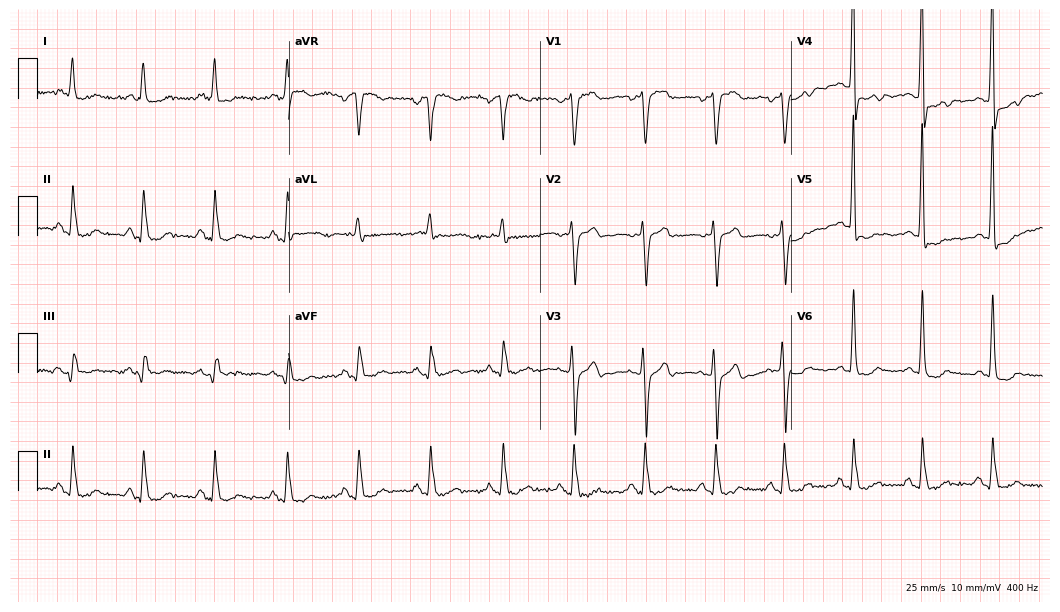
ECG — a female, 53 years old. Screened for six findings — first-degree AV block, right bundle branch block, left bundle branch block, sinus bradycardia, atrial fibrillation, sinus tachycardia — none is recorded.